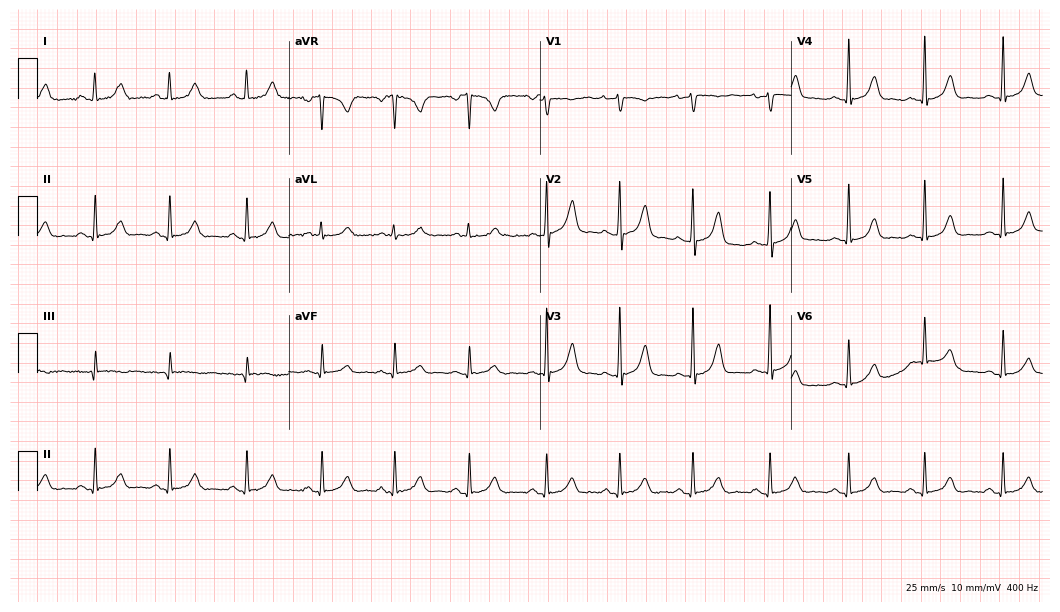
12-lead ECG from a 34-year-old female patient (10.2-second recording at 400 Hz). Recorded interpretation: within normal limits.